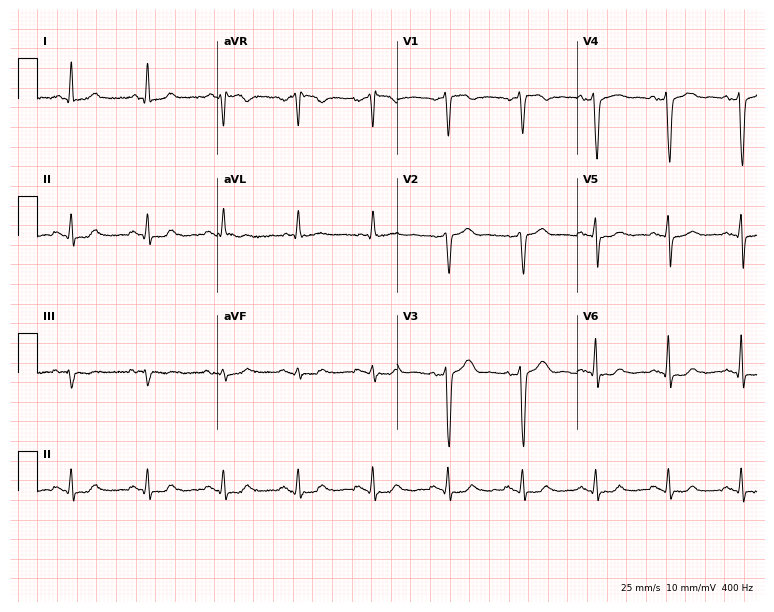
Electrocardiogram (7.3-second recording at 400 Hz), a 60-year-old man. Of the six screened findings (first-degree AV block, right bundle branch block (RBBB), left bundle branch block (LBBB), sinus bradycardia, atrial fibrillation (AF), sinus tachycardia), none is recorded. Only these six findings were labelled.